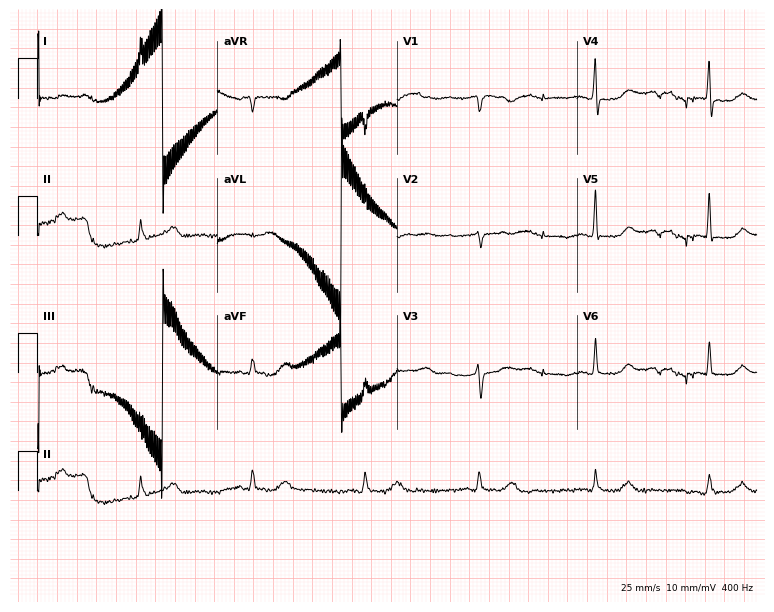
Electrocardiogram, a 65-year-old woman. Of the six screened findings (first-degree AV block, right bundle branch block, left bundle branch block, sinus bradycardia, atrial fibrillation, sinus tachycardia), none is recorded.